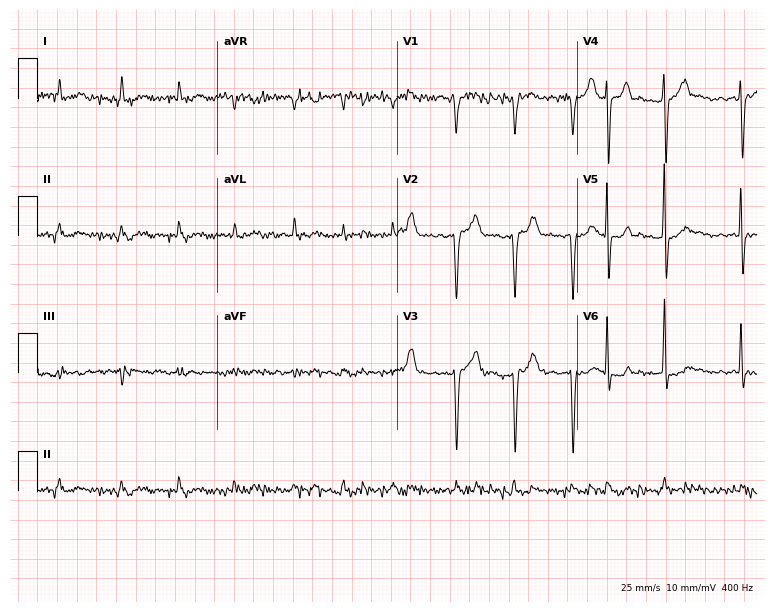
Electrocardiogram, a man, 80 years old. Of the six screened findings (first-degree AV block, right bundle branch block (RBBB), left bundle branch block (LBBB), sinus bradycardia, atrial fibrillation (AF), sinus tachycardia), none is recorded.